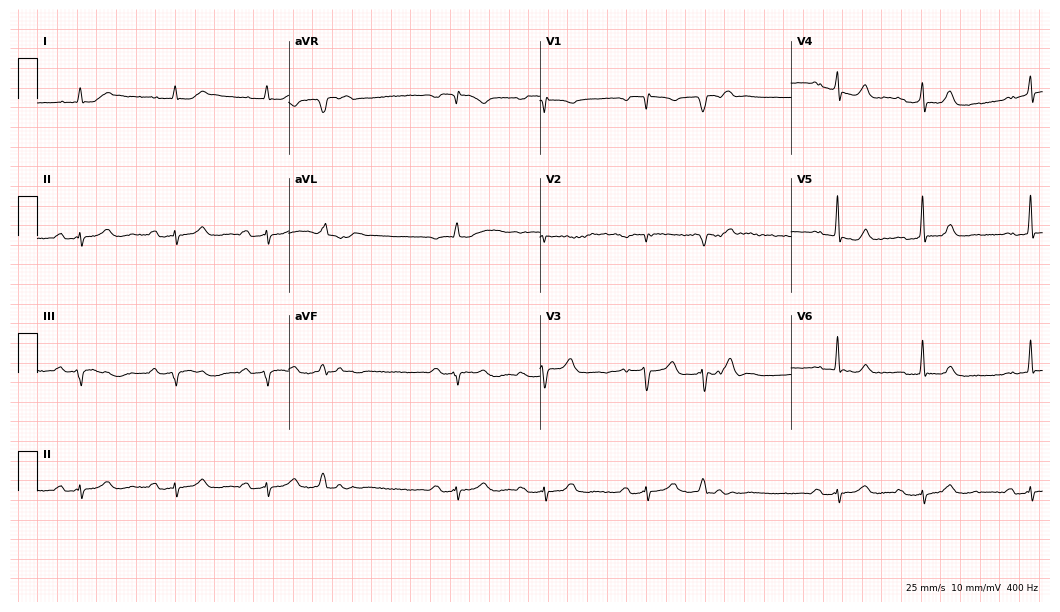
Resting 12-lead electrocardiogram. Patient: a man, 83 years old. The tracing shows first-degree AV block.